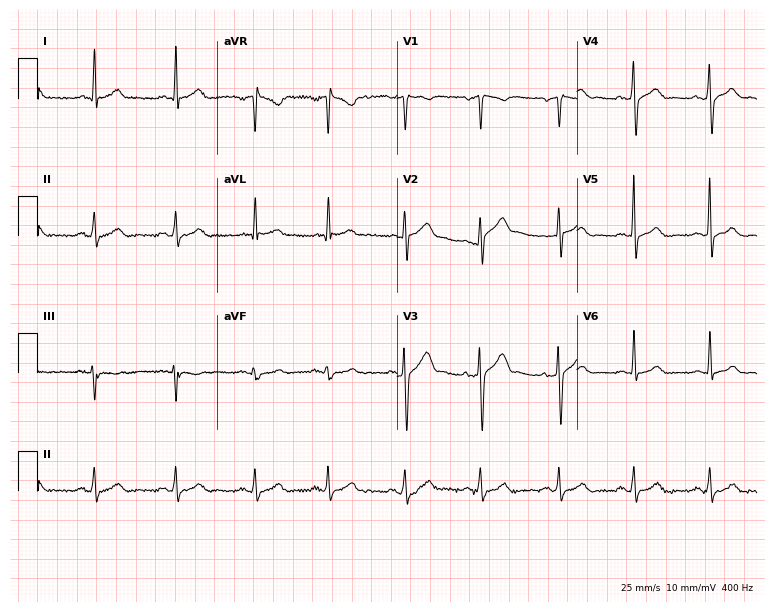
Electrocardiogram, a male, 49 years old. Overall reading on record: normal ECG.